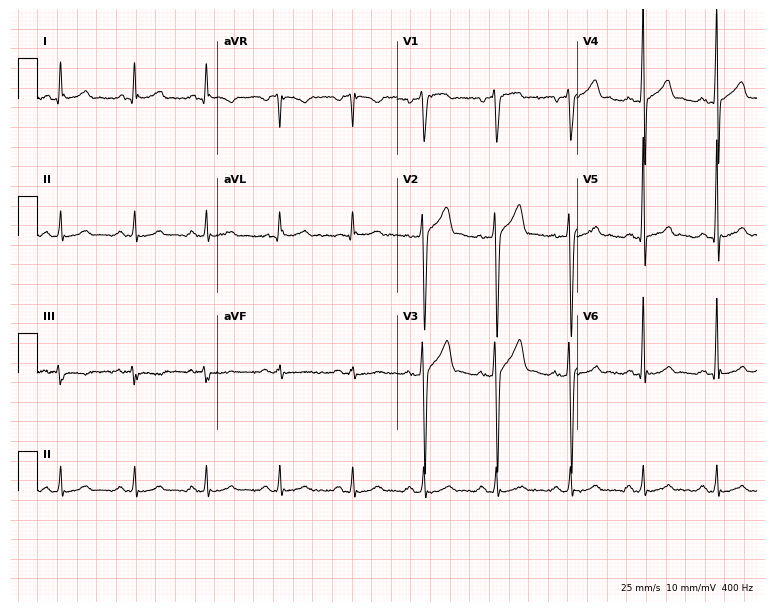
12-lead ECG from a 45-year-old man. Labelled as a normal ECG.